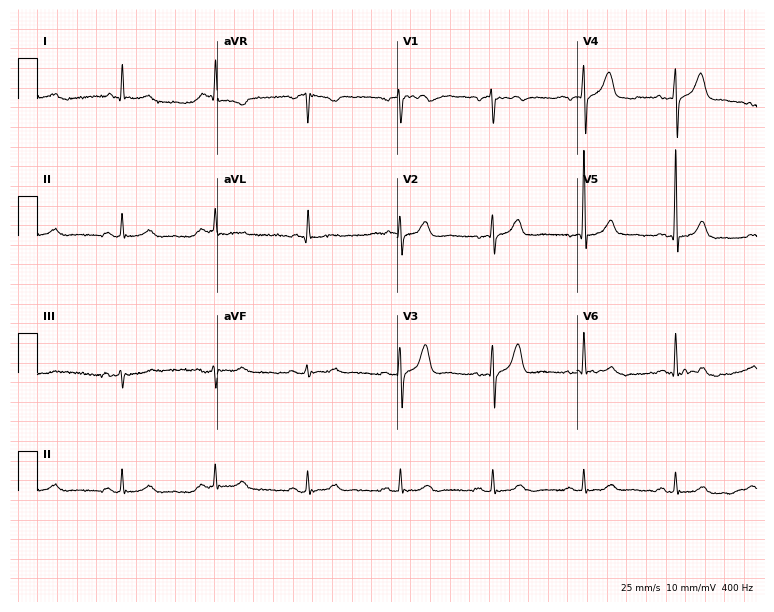
Resting 12-lead electrocardiogram. Patient: a 71-year-old male. Read as a normal ECG.